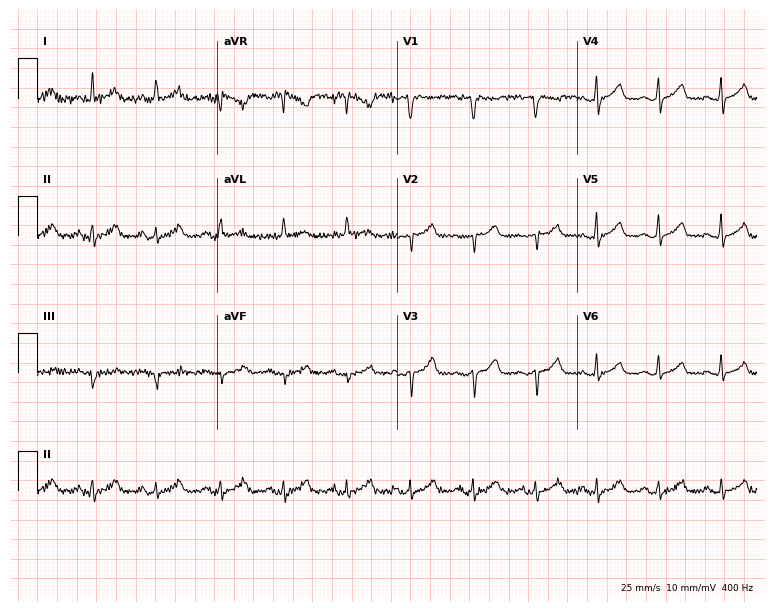
ECG — a woman, 53 years old. Labelled as a normal ECG.